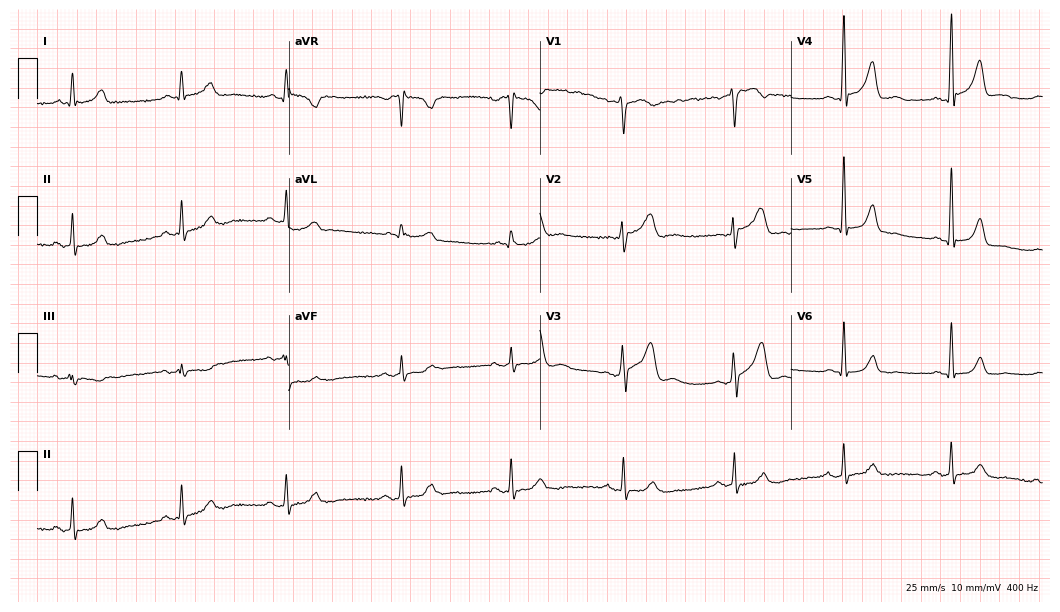
12-lead ECG from a 51-year-old man. Recorded interpretation: within normal limits.